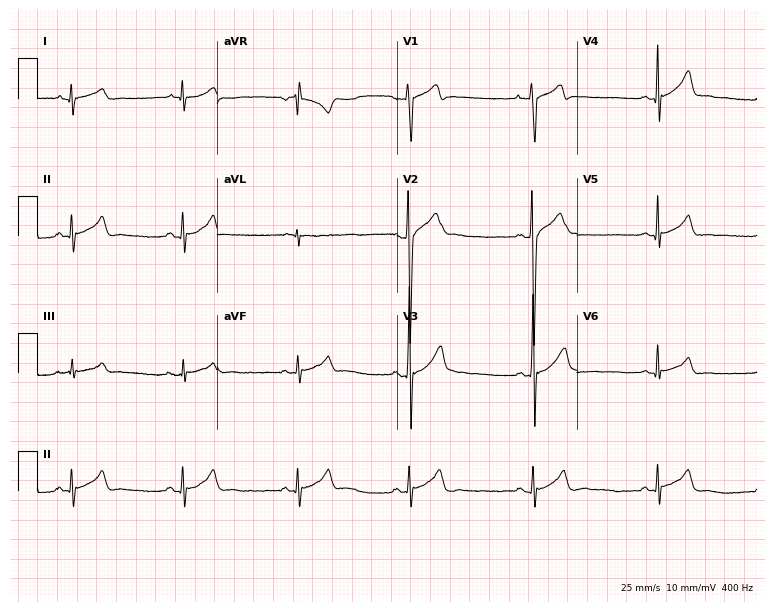
12-lead ECG (7.3-second recording at 400 Hz) from a 30-year-old male patient. Labelled as a normal ECG.